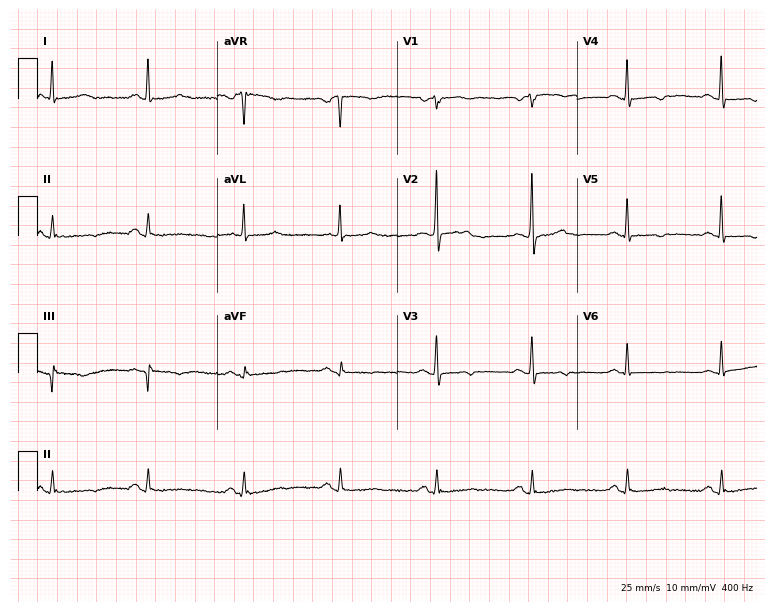
Standard 12-lead ECG recorded from a woman, 71 years old. None of these six findings is recorded: first-degree AV block, right bundle branch block (RBBB), left bundle branch block (LBBB), sinus bradycardia, atrial fibrillation (AF), sinus tachycardia. Findings outside these six are not listed.